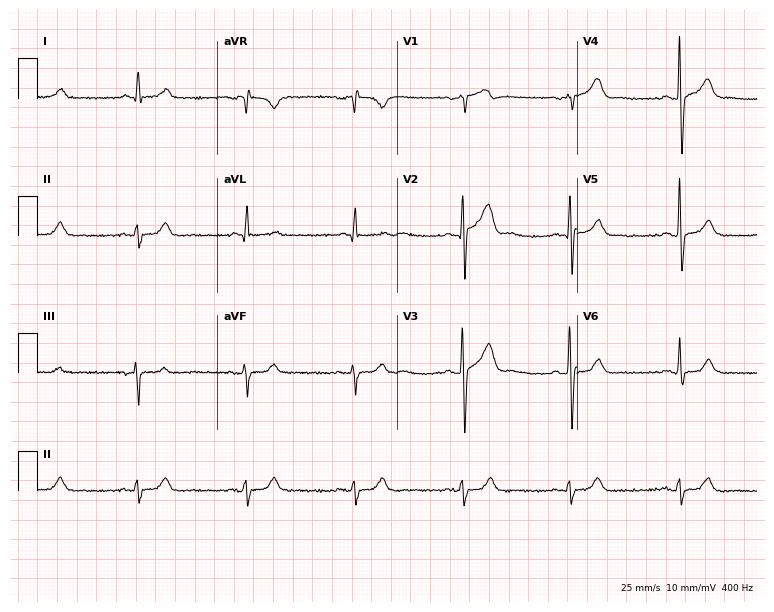
Resting 12-lead electrocardiogram. Patient: a 64-year-old man. None of these six findings is recorded: first-degree AV block, right bundle branch block, left bundle branch block, sinus bradycardia, atrial fibrillation, sinus tachycardia. Only these six findings were labelled.